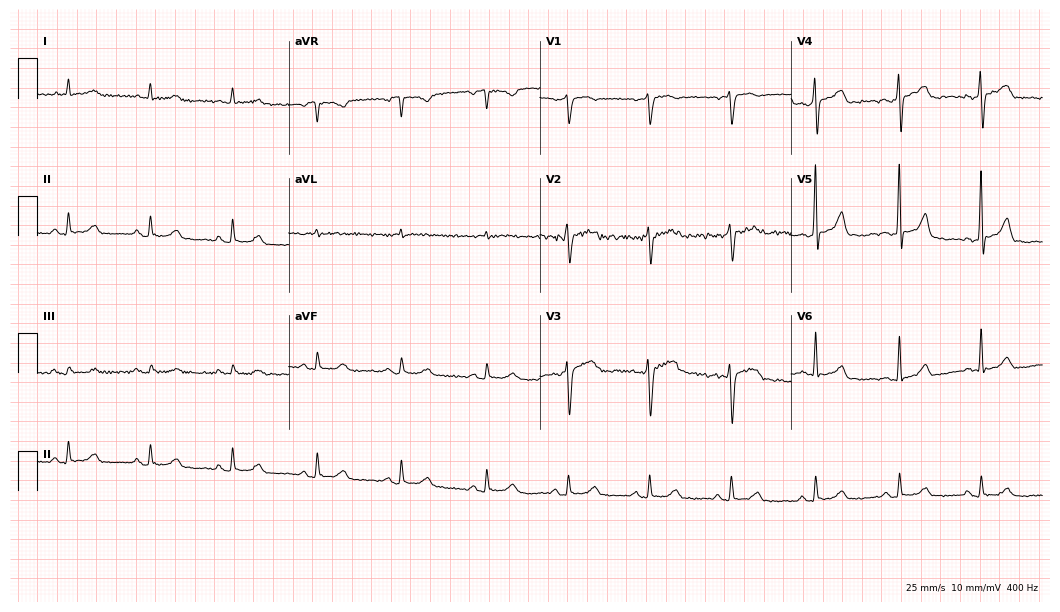
ECG (10.2-second recording at 400 Hz) — a 74-year-old male. Labelled as a normal ECG.